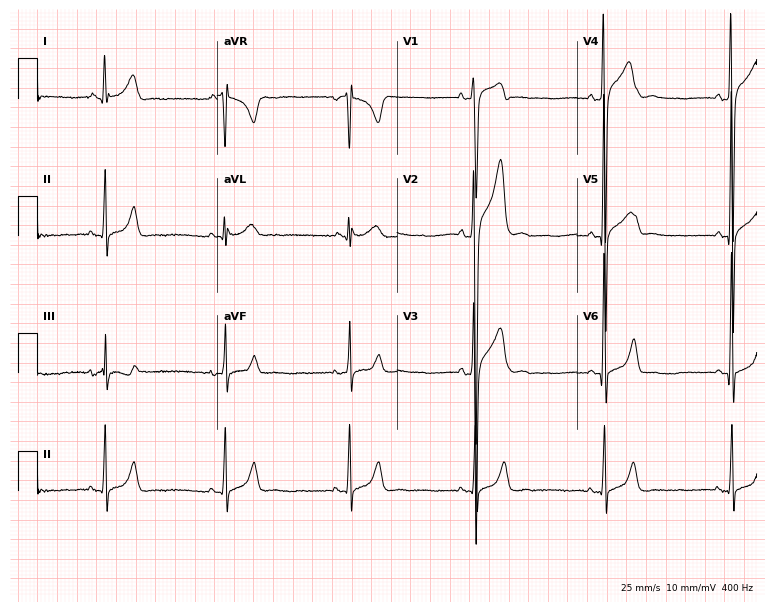
Electrocardiogram, a male patient, 23 years old. Interpretation includes sinus bradycardia (a sinus rate of 50 beats per minute or less).